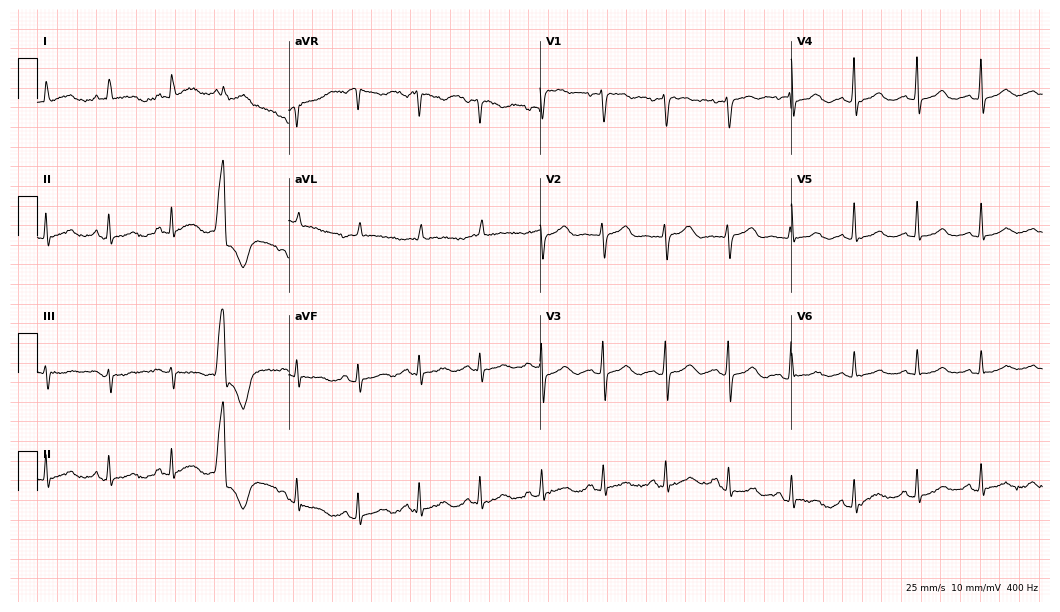
Standard 12-lead ECG recorded from a 75-year-old woman. None of these six findings is recorded: first-degree AV block, right bundle branch block (RBBB), left bundle branch block (LBBB), sinus bradycardia, atrial fibrillation (AF), sinus tachycardia.